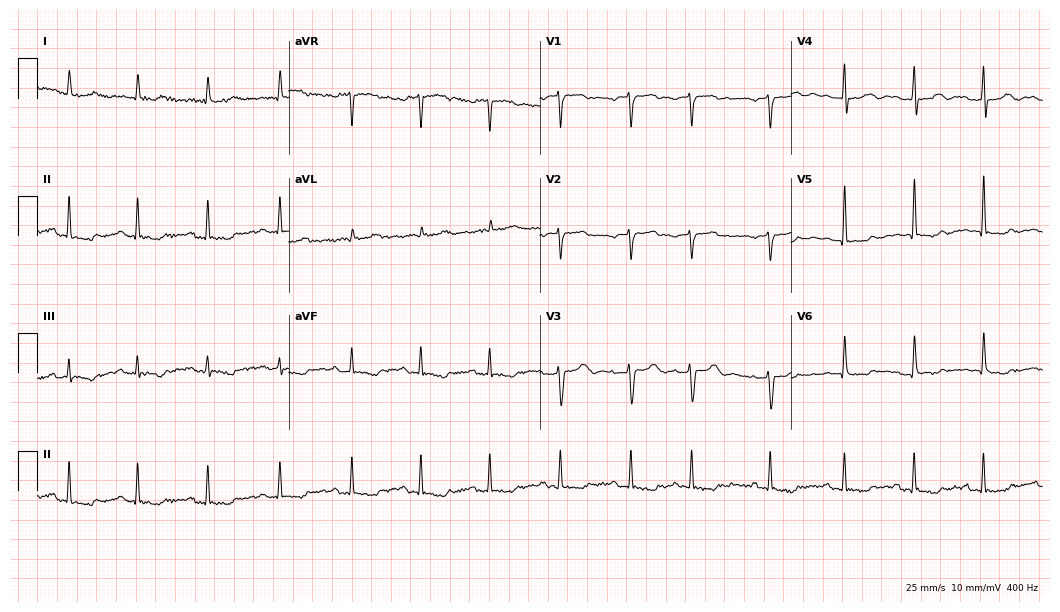
Resting 12-lead electrocardiogram. Patient: a female, 82 years old. None of these six findings is recorded: first-degree AV block, right bundle branch block, left bundle branch block, sinus bradycardia, atrial fibrillation, sinus tachycardia.